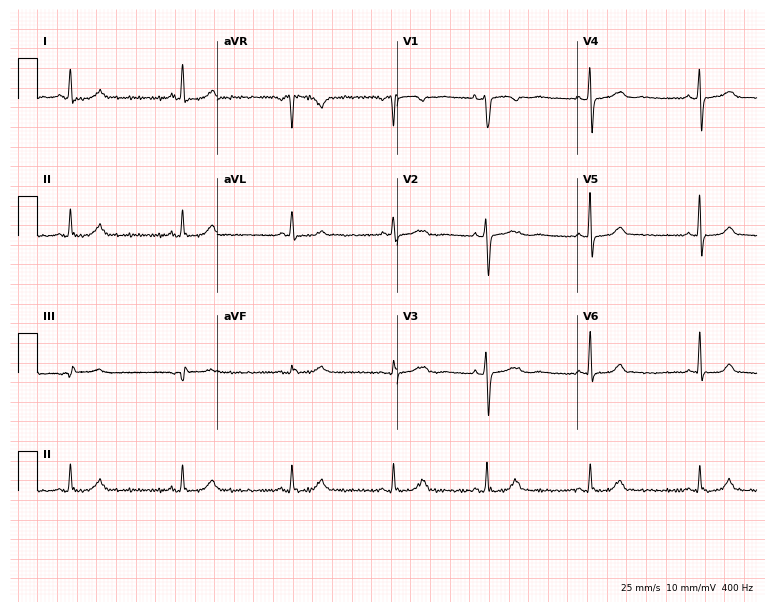
Standard 12-lead ECG recorded from a woman, 22 years old (7.3-second recording at 400 Hz). Read as a normal ECG.